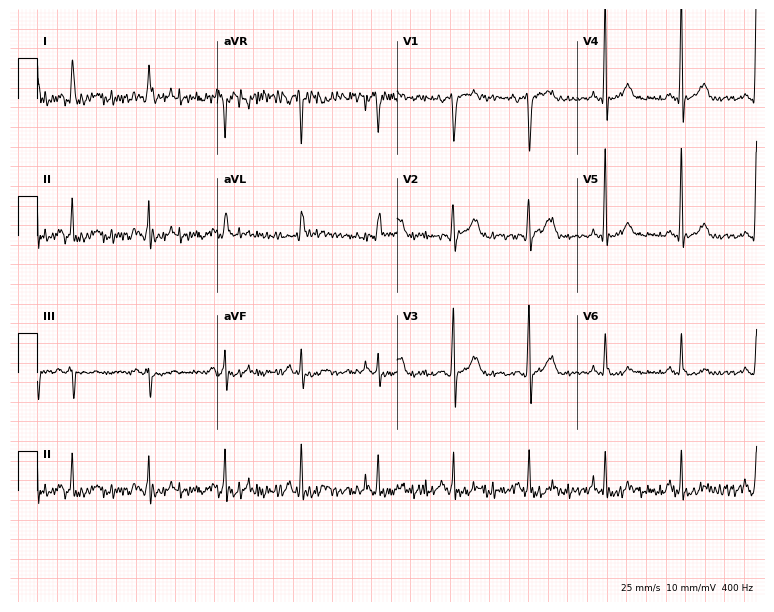
12-lead ECG (7.3-second recording at 400 Hz) from a woman, 54 years old. Labelled as a normal ECG.